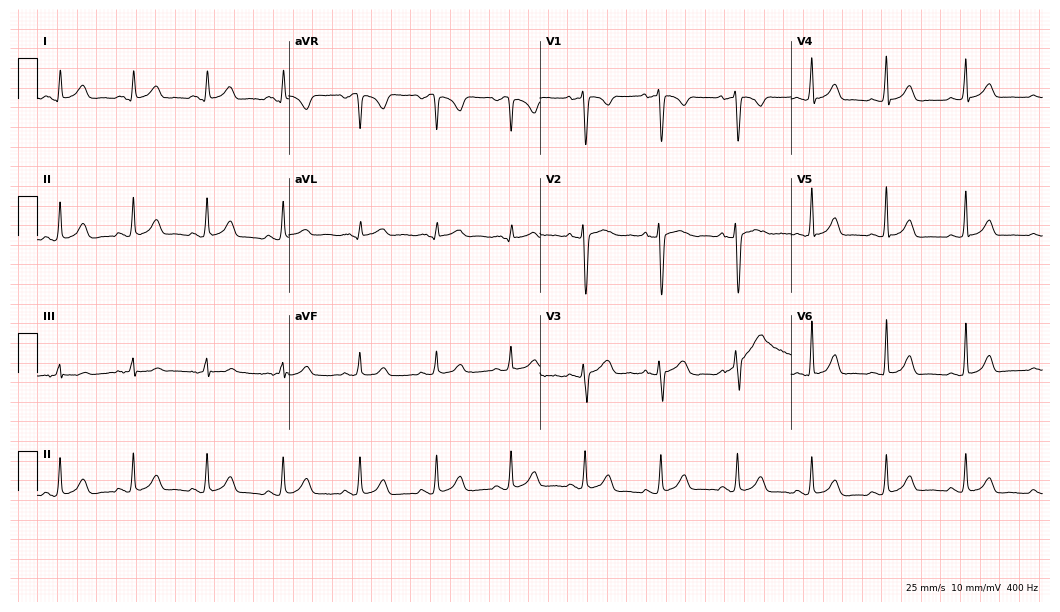
Standard 12-lead ECG recorded from a female, 22 years old (10.2-second recording at 400 Hz). Read as a normal ECG.